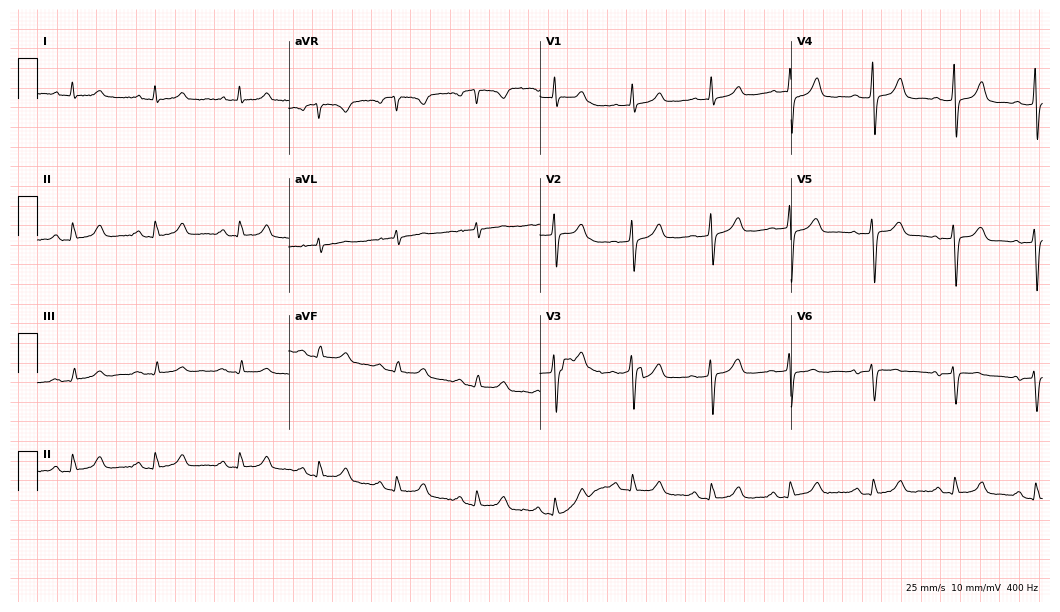
Standard 12-lead ECG recorded from a 69-year-old female patient (10.2-second recording at 400 Hz). None of these six findings is recorded: first-degree AV block, right bundle branch block, left bundle branch block, sinus bradycardia, atrial fibrillation, sinus tachycardia. Other findings, if any, are not listed.